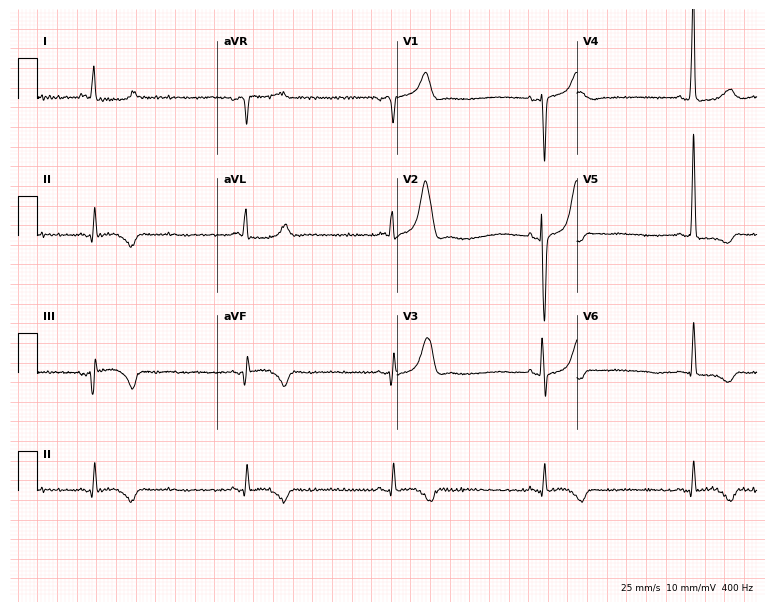
Standard 12-lead ECG recorded from a female, 60 years old. The tracing shows first-degree AV block, sinus bradycardia (a sinus rate of 50 beats per minute or less).